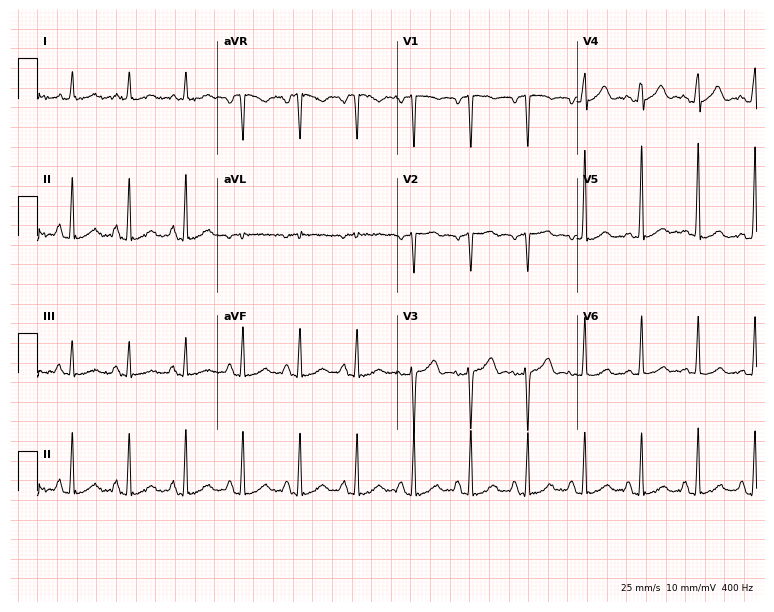
Resting 12-lead electrocardiogram. Patient: a woman, 70 years old. Read as a normal ECG.